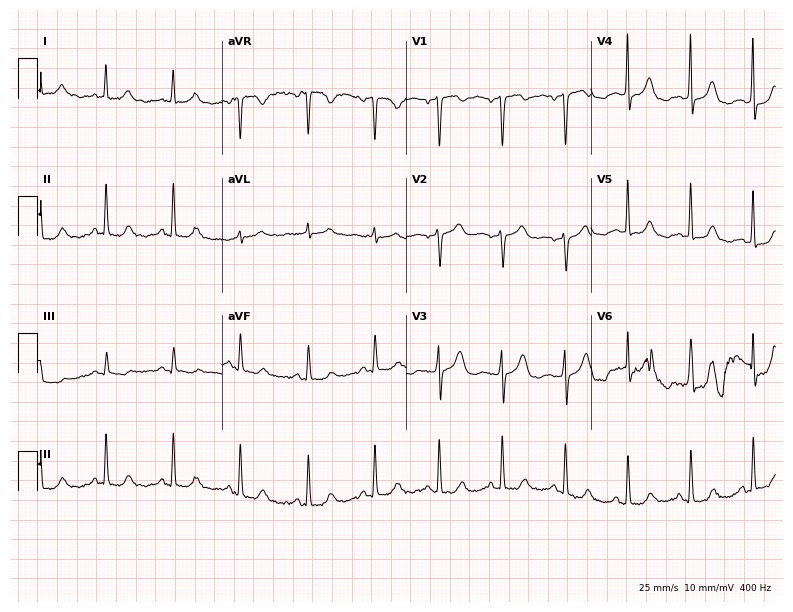
Standard 12-lead ECG recorded from a 51-year-old female. Read as a normal ECG.